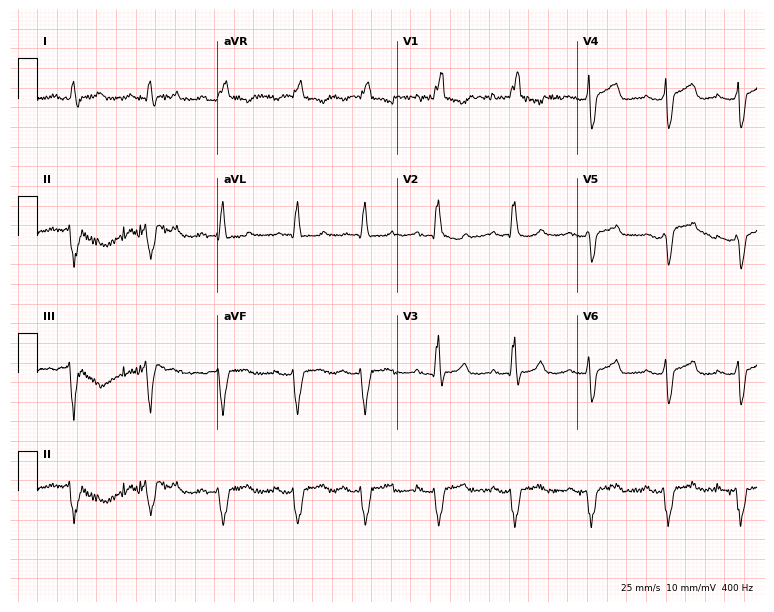
12-lead ECG (7.3-second recording at 400 Hz) from a 52-year-old woman. Screened for six findings — first-degree AV block, right bundle branch block, left bundle branch block, sinus bradycardia, atrial fibrillation, sinus tachycardia — none is recorded.